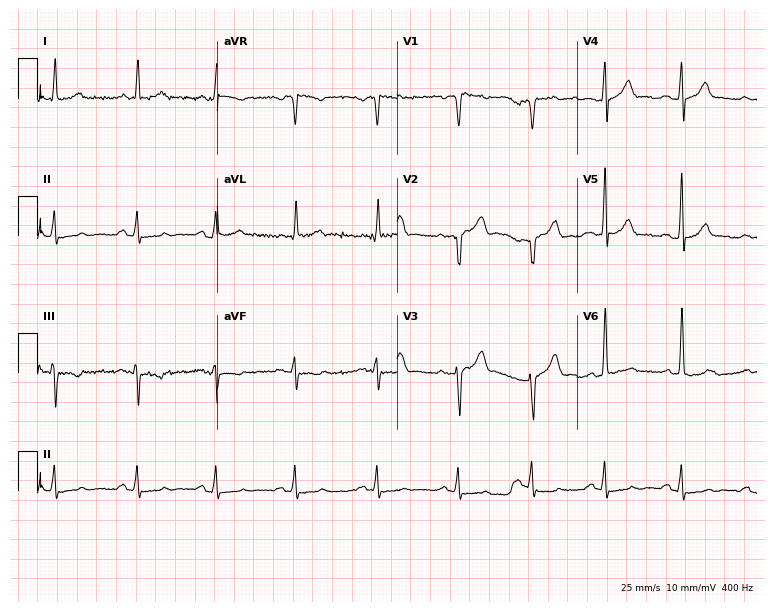
Standard 12-lead ECG recorded from a man, 59 years old. None of these six findings is recorded: first-degree AV block, right bundle branch block (RBBB), left bundle branch block (LBBB), sinus bradycardia, atrial fibrillation (AF), sinus tachycardia. Findings outside these six are not listed.